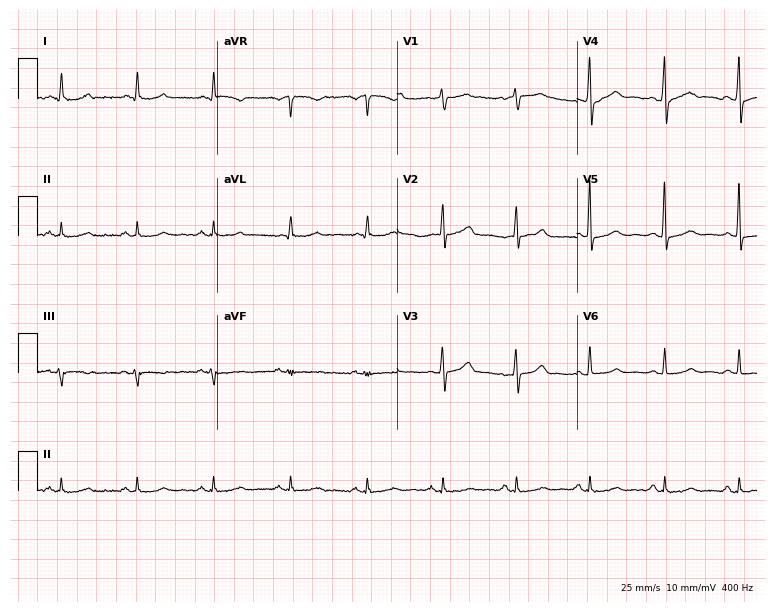
12-lead ECG from a 59-year-old female patient. Screened for six findings — first-degree AV block, right bundle branch block (RBBB), left bundle branch block (LBBB), sinus bradycardia, atrial fibrillation (AF), sinus tachycardia — none is recorded. Findings outside these six are not listed.